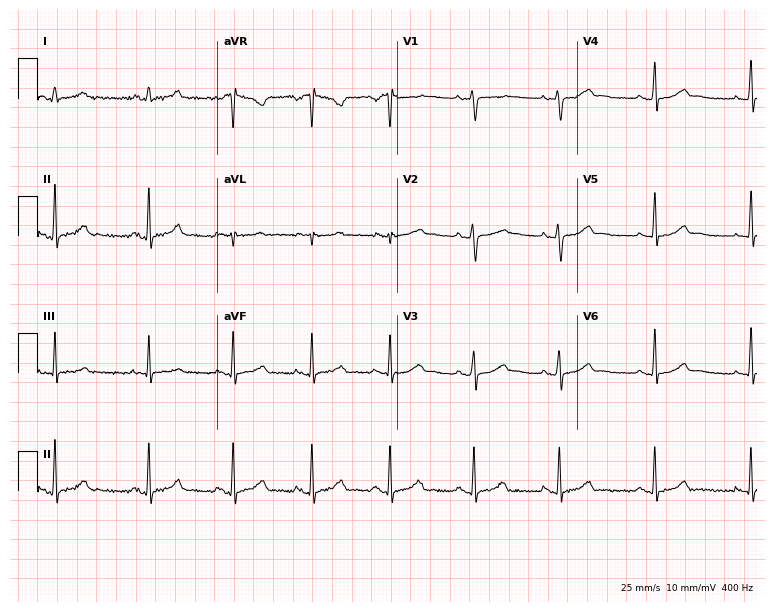
Standard 12-lead ECG recorded from a 24-year-old female patient (7.3-second recording at 400 Hz). Read as a normal ECG.